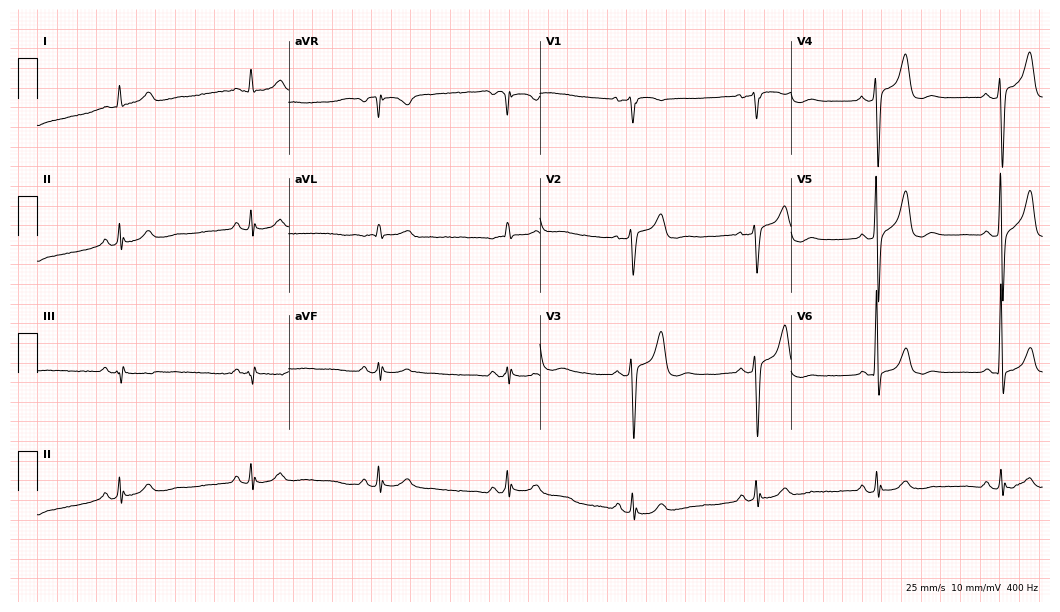
ECG (10.2-second recording at 400 Hz) — a 76-year-old male. Labelled as a normal ECG.